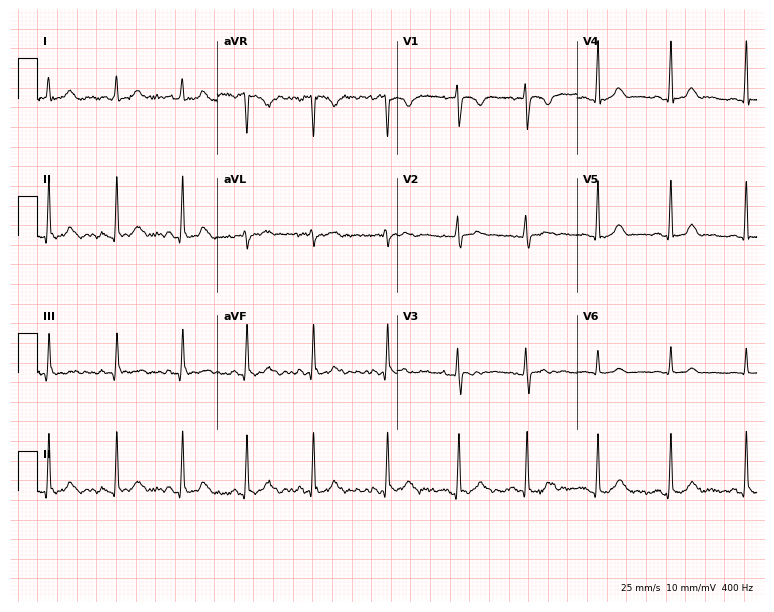
Electrocardiogram (7.3-second recording at 400 Hz), a 34-year-old woman. Overall reading on record: normal ECG.